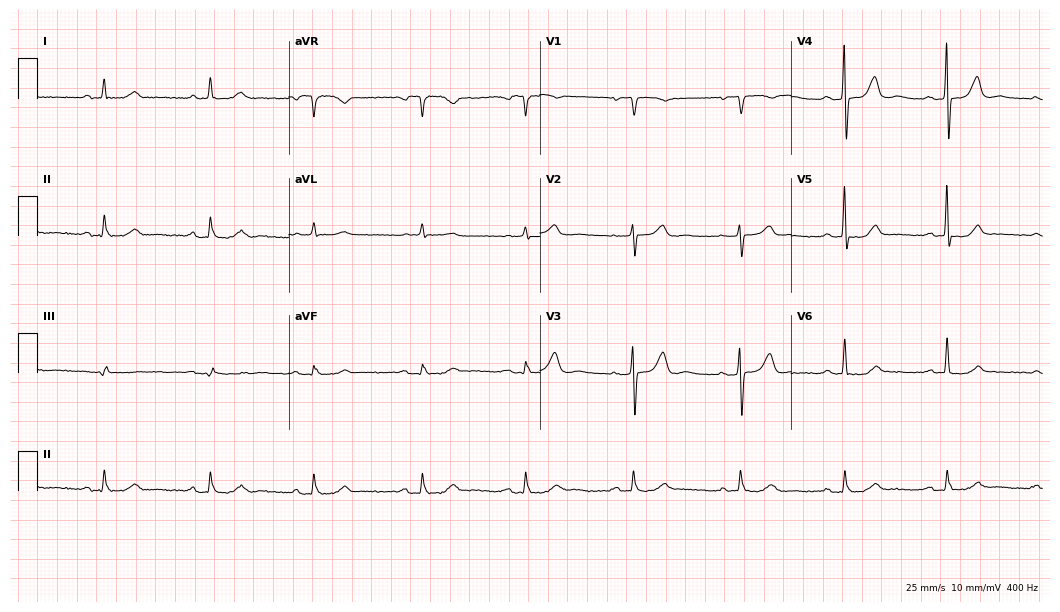
Standard 12-lead ECG recorded from a 69-year-old man (10.2-second recording at 400 Hz). None of these six findings is recorded: first-degree AV block, right bundle branch block (RBBB), left bundle branch block (LBBB), sinus bradycardia, atrial fibrillation (AF), sinus tachycardia.